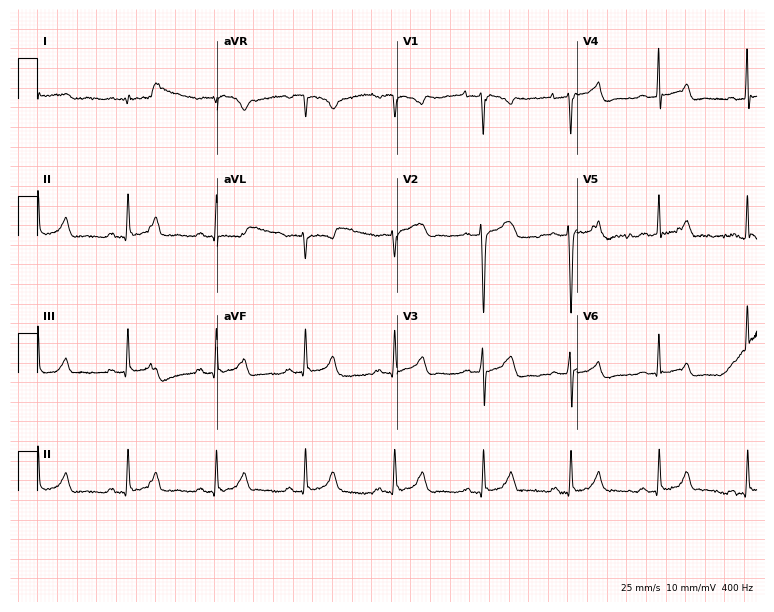
12-lead ECG (7.3-second recording at 400 Hz) from a male patient, 65 years old. Labelled as a normal ECG.